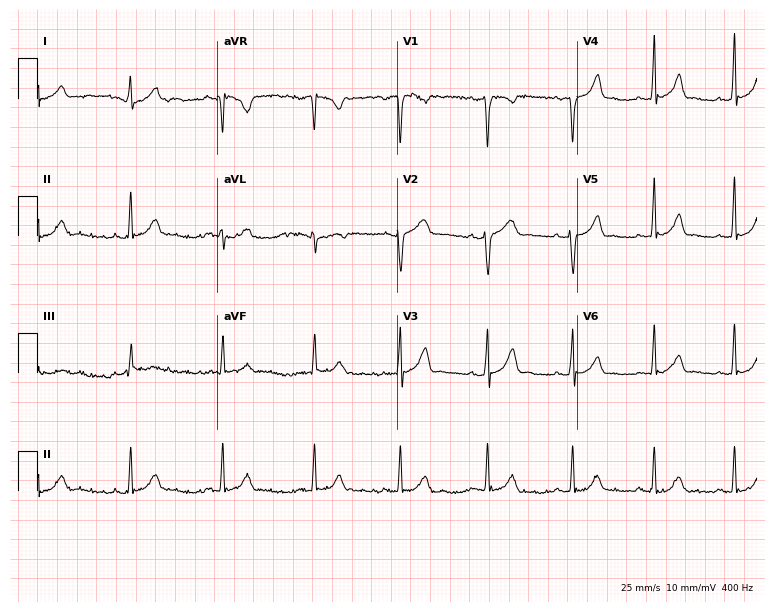
Resting 12-lead electrocardiogram. Patient: a male, 30 years old. None of these six findings is recorded: first-degree AV block, right bundle branch block, left bundle branch block, sinus bradycardia, atrial fibrillation, sinus tachycardia.